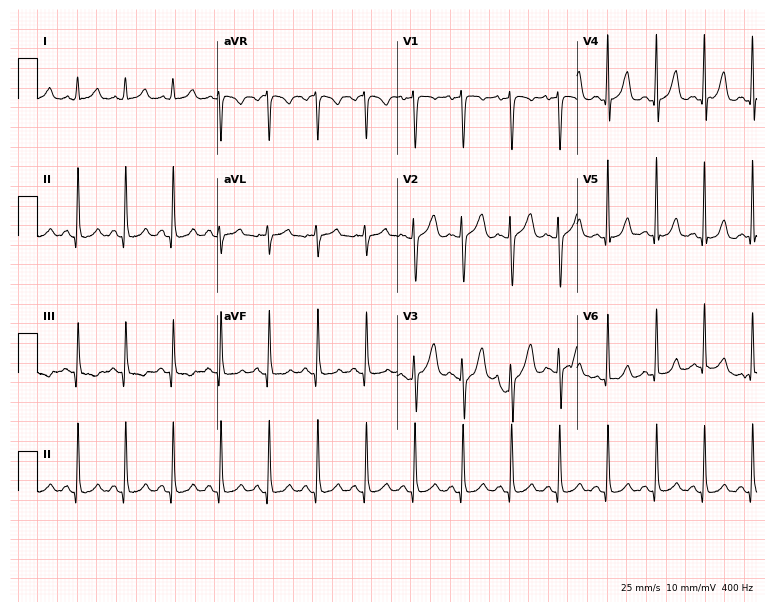
ECG — a woman, 33 years old. Findings include sinus tachycardia (a sinus rate of 100 beats per minute or more).